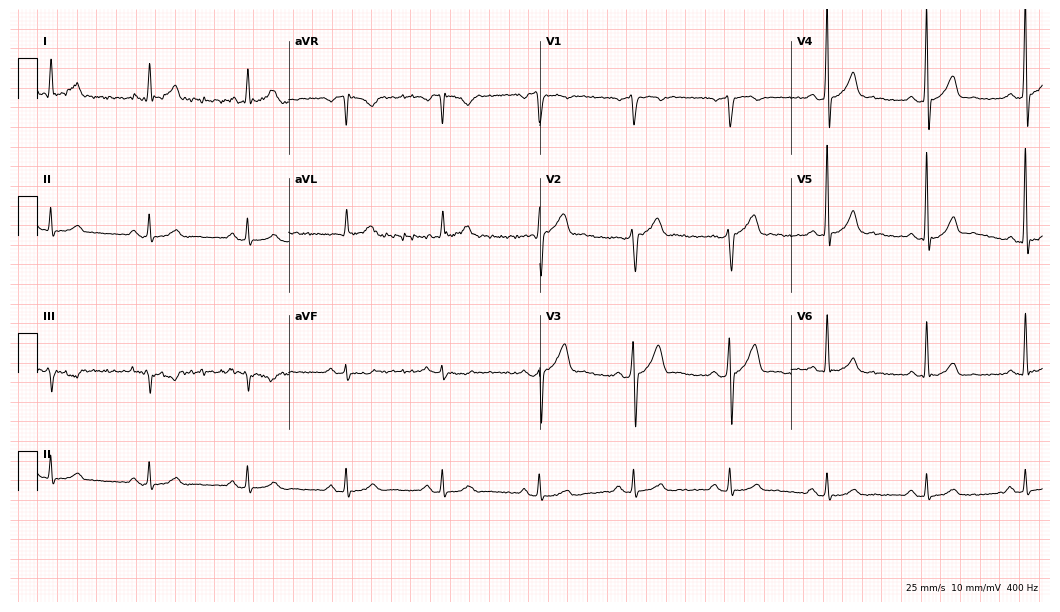
ECG — a male patient, 64 years old. Labelled as a normal ECG.